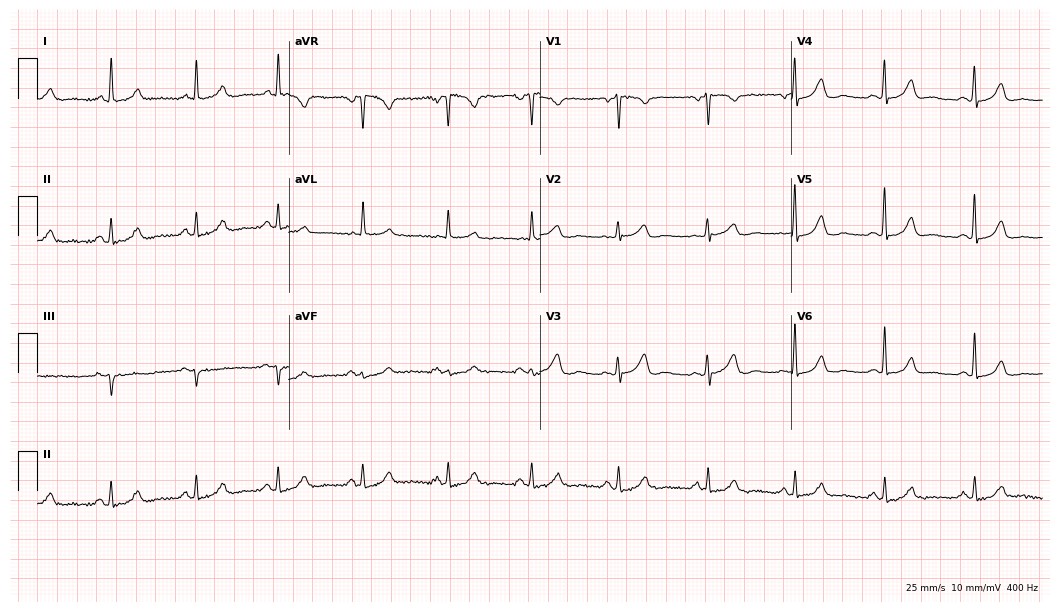
12-lead ECG from a female patient, 54 years old (10.2-second recording at 400 Hz). Recorded interpretation: within normal limits.